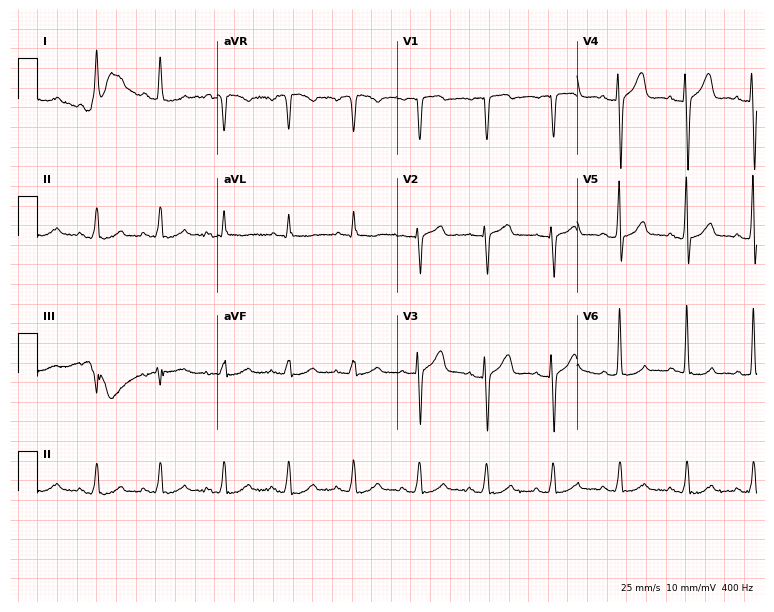
Electrocardiogram, a female patient, 54 years old. Of the six screened findings (first-degree AV block, right bundle branch block, left bundle branch block, sinus bradycardia, atrial fibrillation, sinus tachycardia), none is recorded.